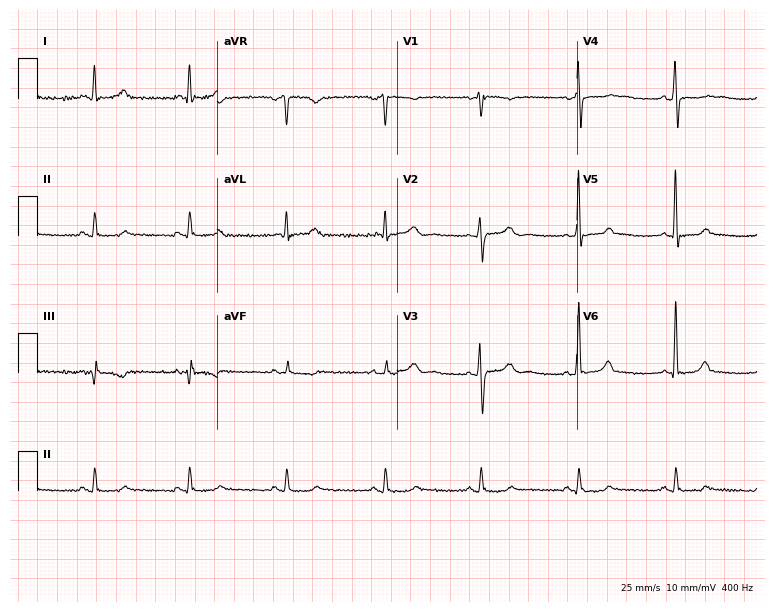
ECG — a male, 55 years old. Screened for six findings — first-degree AV block, right bundle branch block, left bundle branch block, sinus bradycardia, atrial fibrillation, sinus tachycardia — none is recorded.